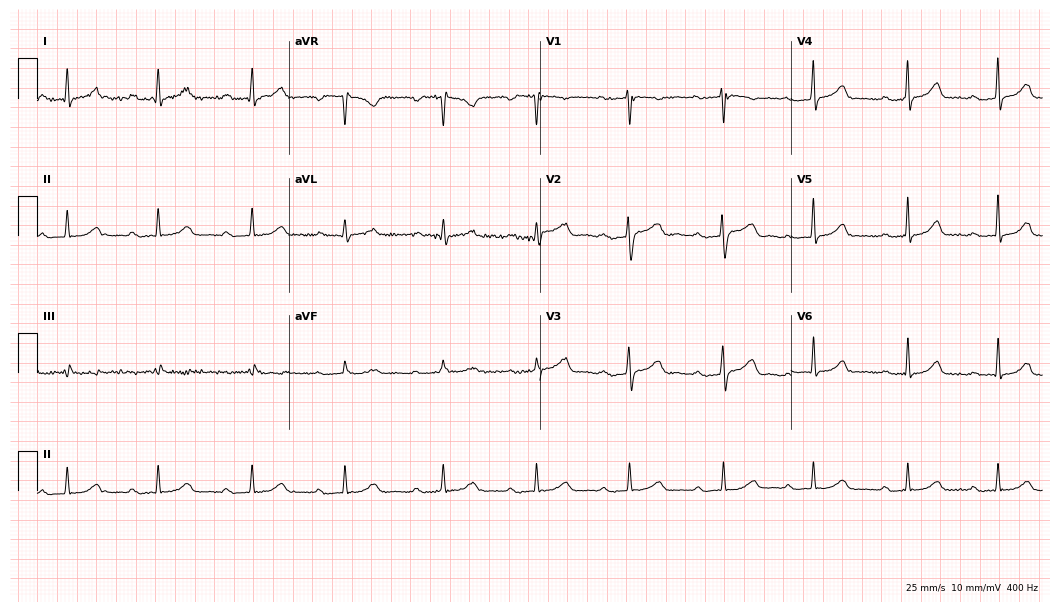
Electrocardiogram (10.2-second recording at 400 Hz), a 29-year-old woman. Interpretation includes first-degree AV block.